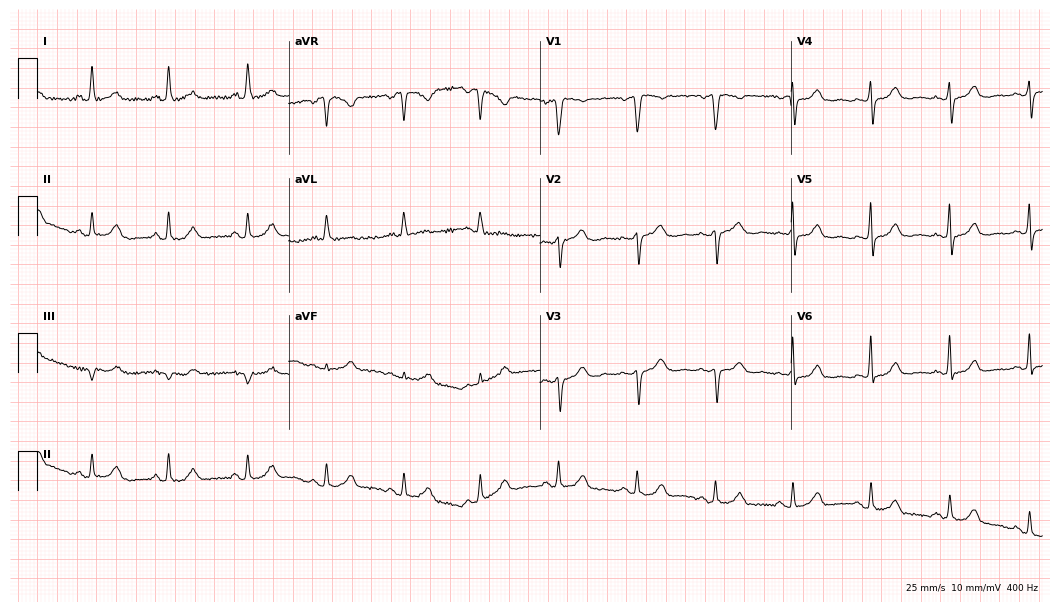
Standard 12-lead ECG recorded from a woman, 67 years old (10.2-second recording at 400 Hz). Read as a normal ECG.